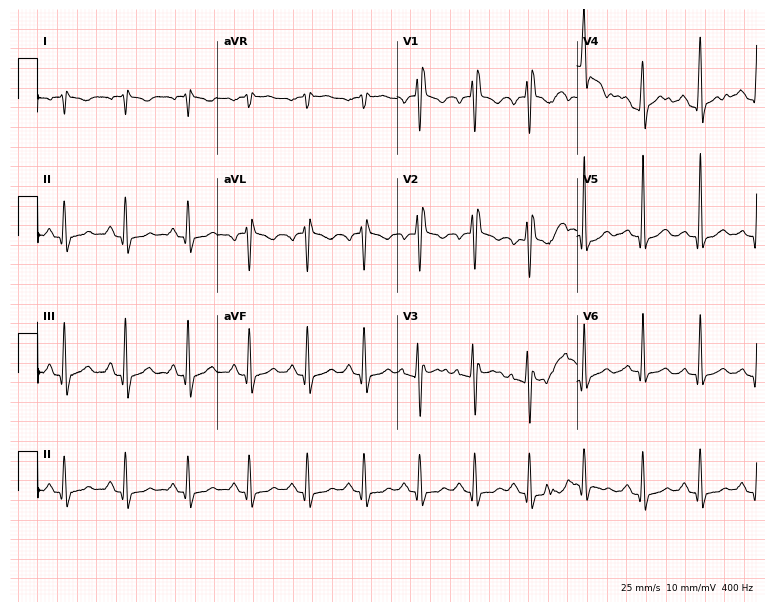
12-lead ECG (7.3-second recording at 400 Hz) from a 29-year-old male. Screened for six findings — first-degree AV block, right bundle branch block, left bundle branch block, sinus bradycardia, atrial fibrillation, sinus tachycardia — none is recorded. Only these six findings were labelled.